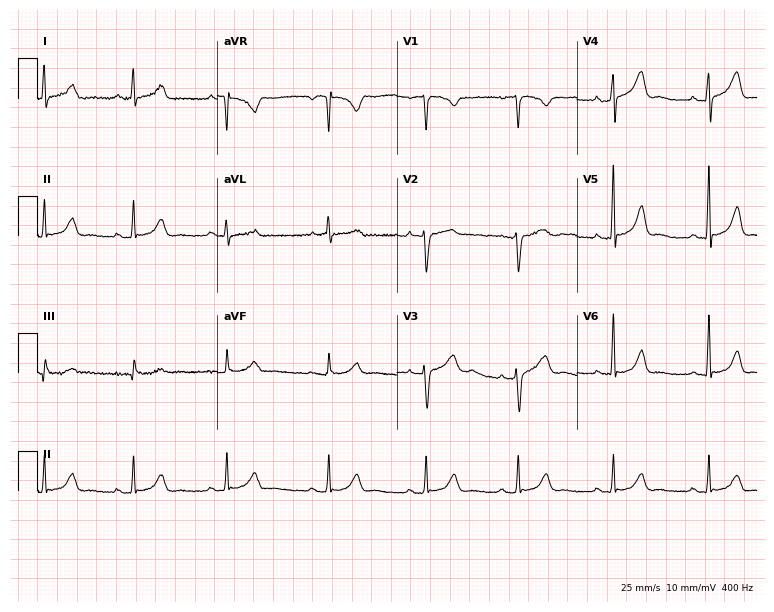
Resting 12-lead electrocardiogram. Patient: a woman, 44 years old. None of these six findings is recorded: first-degree AV block, right bundle branch block, left bundle branch block, sinus bradycardia, atrial fibrillation, sinus tachycardia.